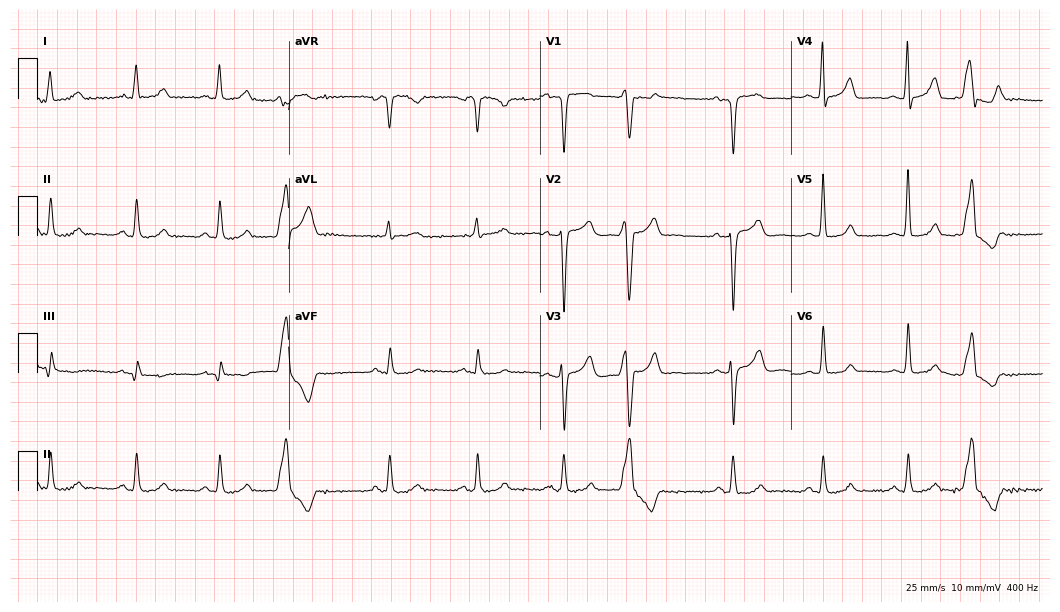
12-lead ECG from a male, 68 years old (10.2-second recording at 400 Hz). No first-degree AV block, right bundle branch block, left bundle branch block, sinus bradycardia, atrial fibrillation or sinus tachycardia recorded for this tracing. Findings outside these six are not listed.